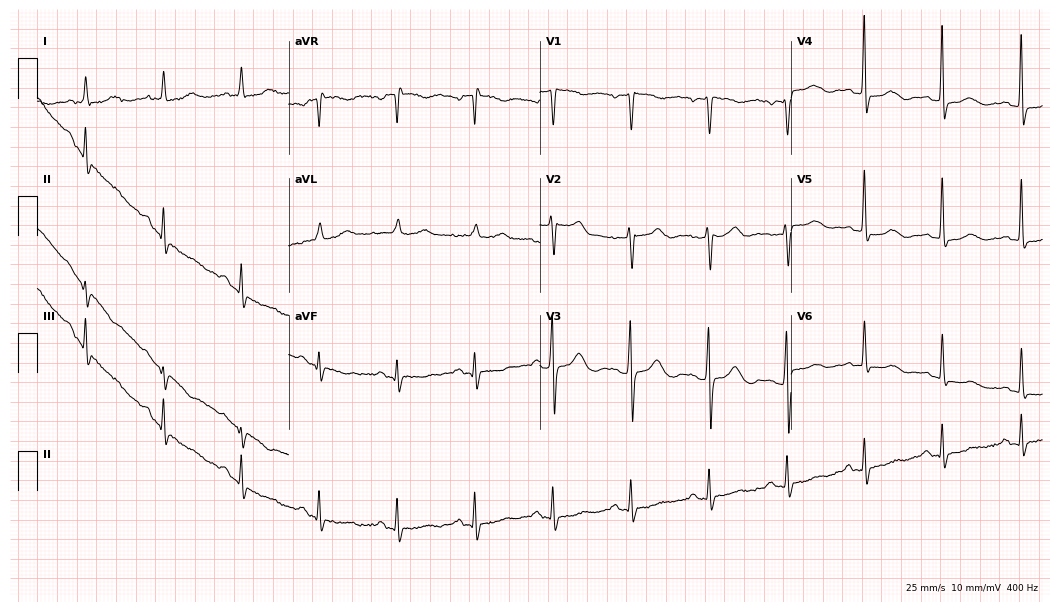
Resting 12-lead electrocardiogram (10.2-second recording at 400 Hz). Patient: a 75-year-old female. None of these six findings is recorded: first-degree AV block, right bundle branch block (RBBB), left bundle branch block (LBBB), sinus bradycardia, atrial fibrillation (AF), sinus tachycardia. Findings outside these six are not listed.